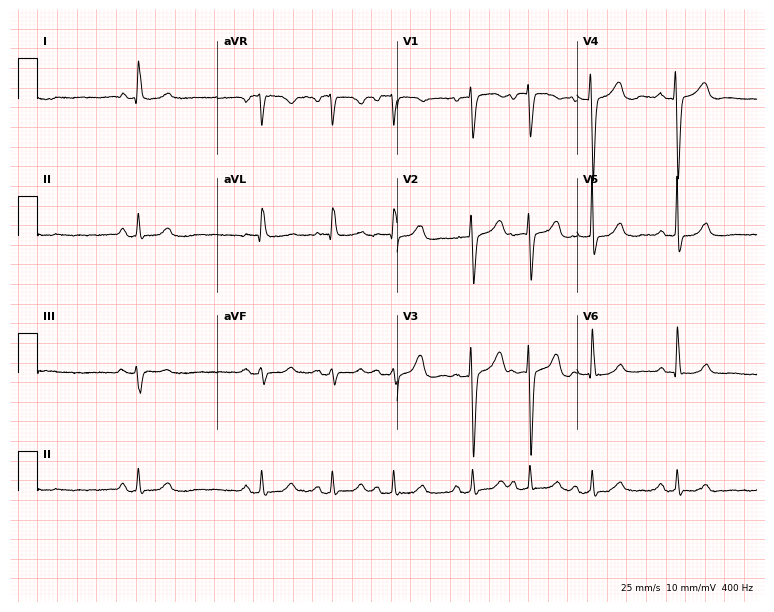
Electrocardiogram, a 77-year-old female. Of the six screened findings (first-degree AV block, right bundle branch block, left bundle branch block, sinus bradycardia, atrial fibrillation, sinus tachycardia), none is recorded. Other findings, if any, are not listed.